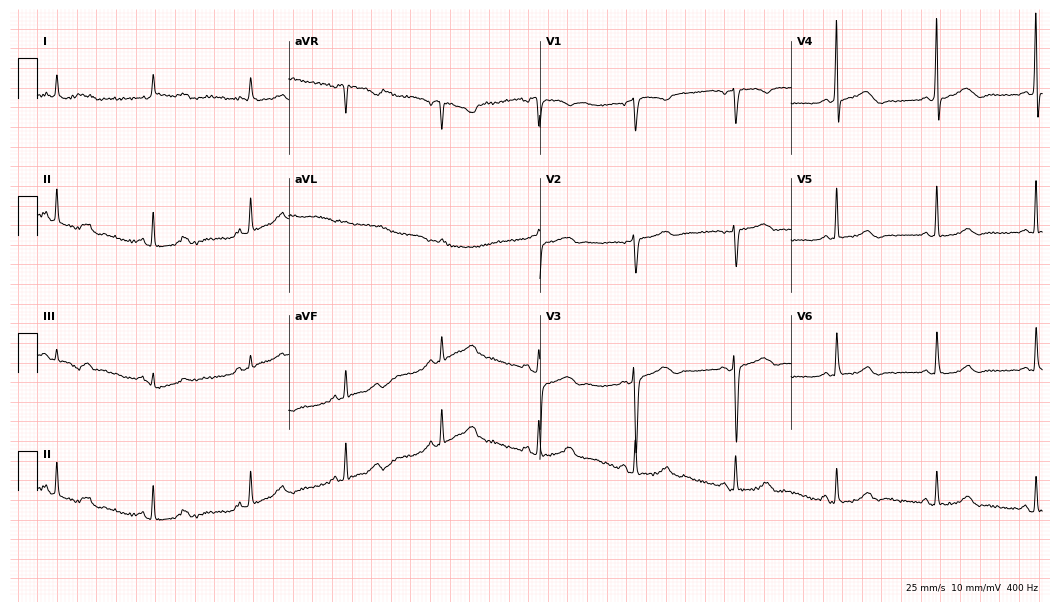
12-lead ECG from an 84-year-old female. No first-degree AV block, right bundle branch block, left bundle branch block, sinus bradycardia, atrial fibrillation or sinus tachycardia recorded for this tracing. Findings outside these six are not listed.